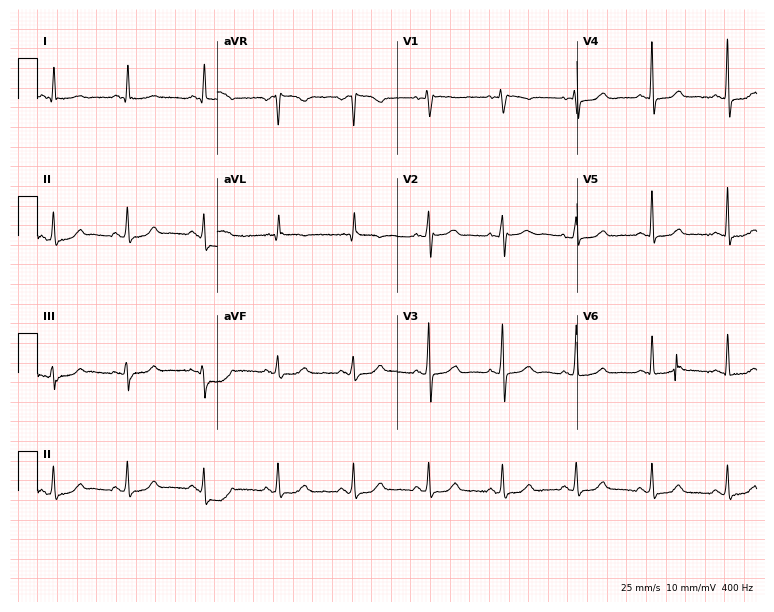
12-lead ECG from a female patient, 80 years old. Screened for six findings — first-degree AV block, right bundle branch block, left bundle branch block, sinus bradycardia, atrial fibrillation, sinus tachycardia — none is recorded. Only these six findings were labelled.